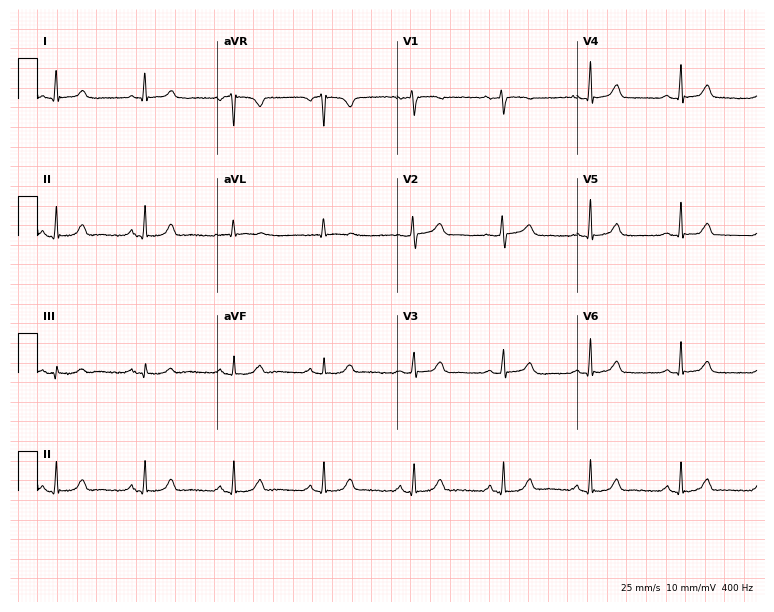
ECG (7.3-second recording at 400 Hz) — a 53-year-old female patient. Labelled as a normal ECG.